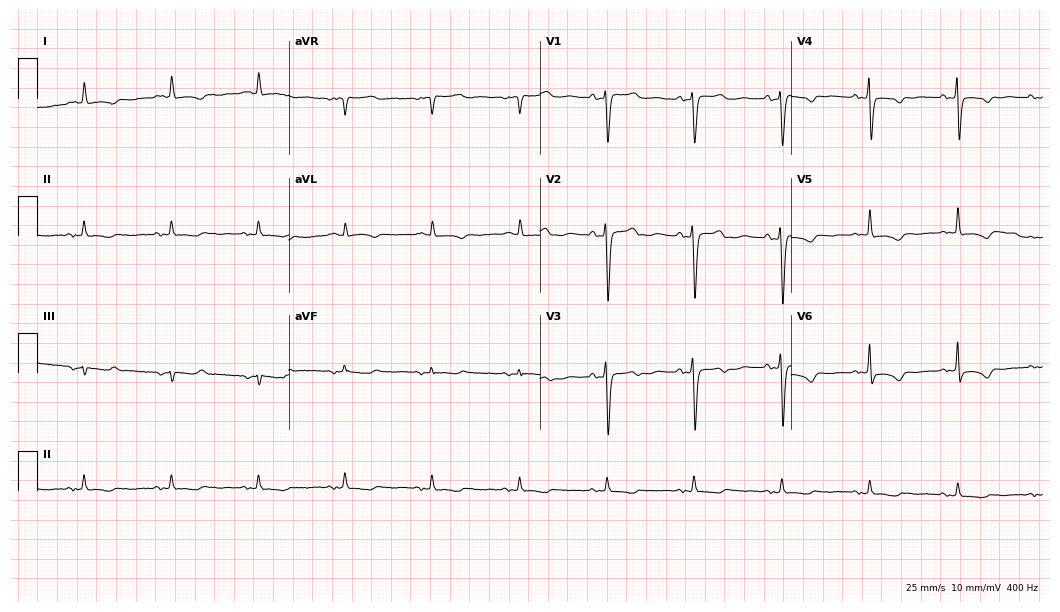
Electrocardiogram (10.2-second recording at 400 Hz), a 73-year-old female patient. Of the six screened findings (first-degree AV block, right bundle branch block (RBBB), left bundle branch block (LBBB), sinus bradycardia, atrial fibrillation (AF), sinus tachycardia), none is recorded. Only these six findings were labelled.